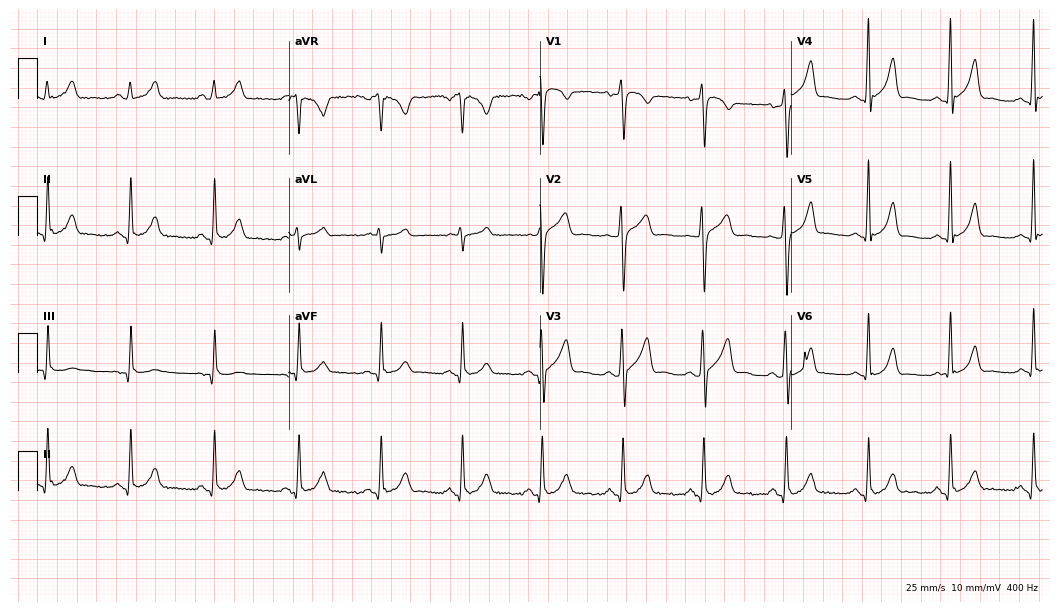
ECG — a male, 51 years old. Labelled as a normal ECG.